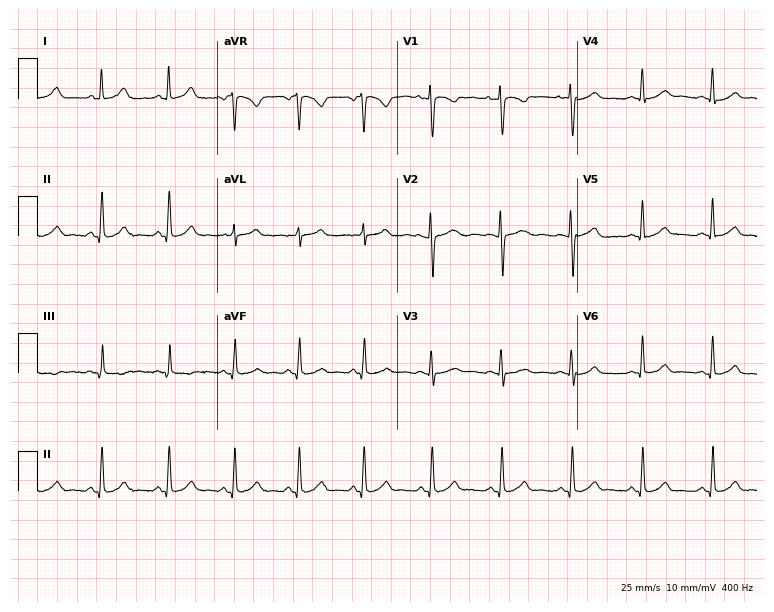
Resting 12-lead electrocardiogram. Patient: a woman, 33 years old. Read as a normal ECG.